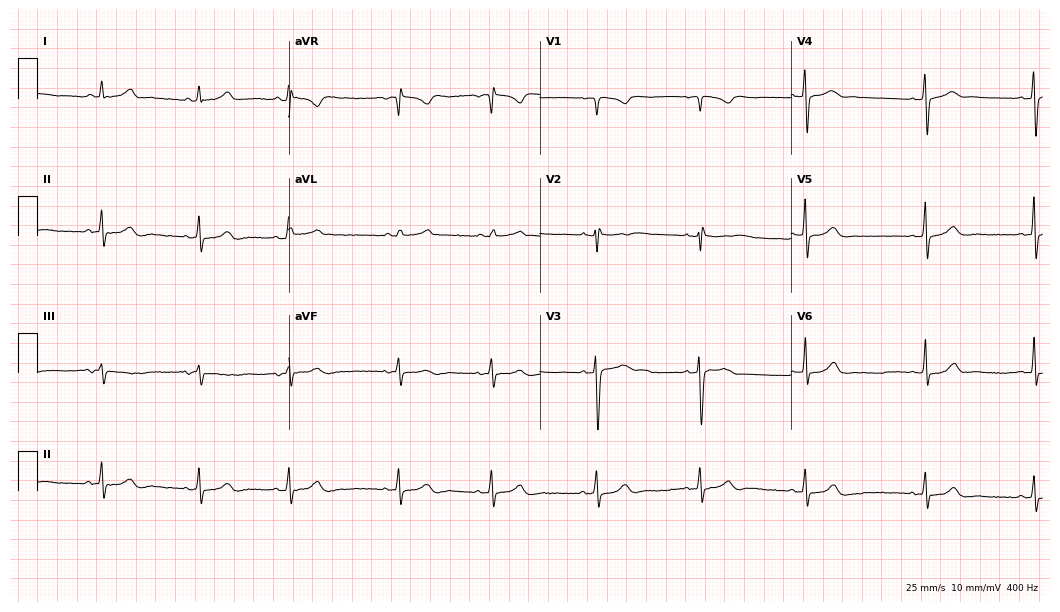
12-lead ECG from a woman, 24 years old. Labelled as a normal ECG.